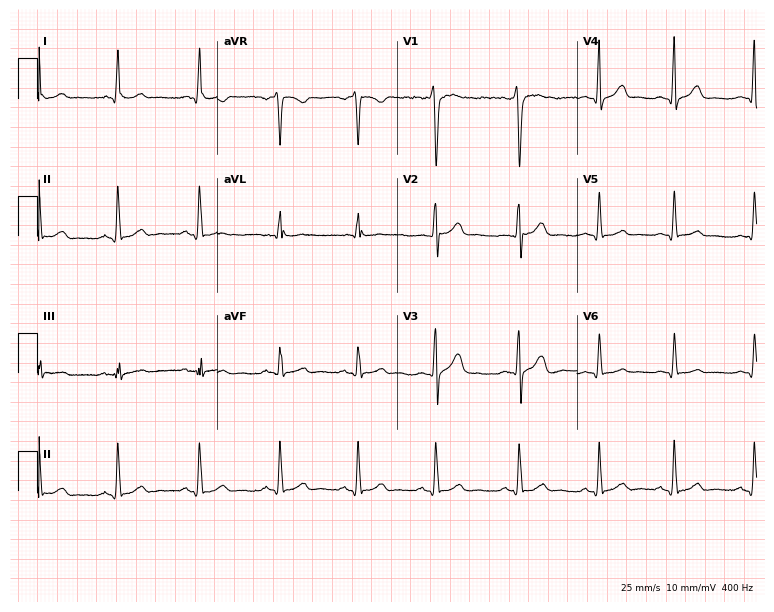
ECG — a male patient, 18 years old. Screened for six findings — first-degree AV block, right bundle branch block (RBBB), left bundle branch block (LBBB), sinus bradycardia, atrial fibrillation (AF), sinus tachycardia — none is recorded.